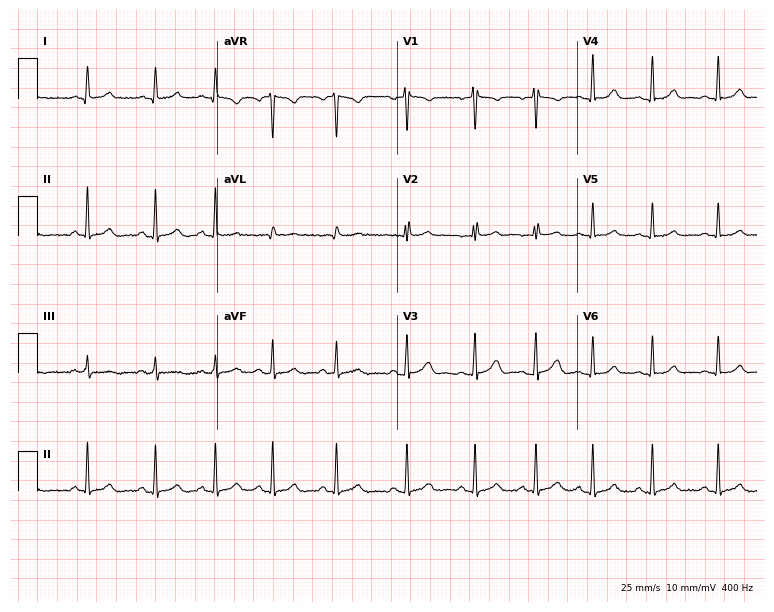
12-lead ECG from a female, 26 years old (7.3-second recording at 400 Hz). No first-degree AV block, right bundle branch block, left bundle branch block, sinus bradycardia, atrial fibrillation or sinus tachycardia recorded for this tracing. Findings outside these six are not listed.